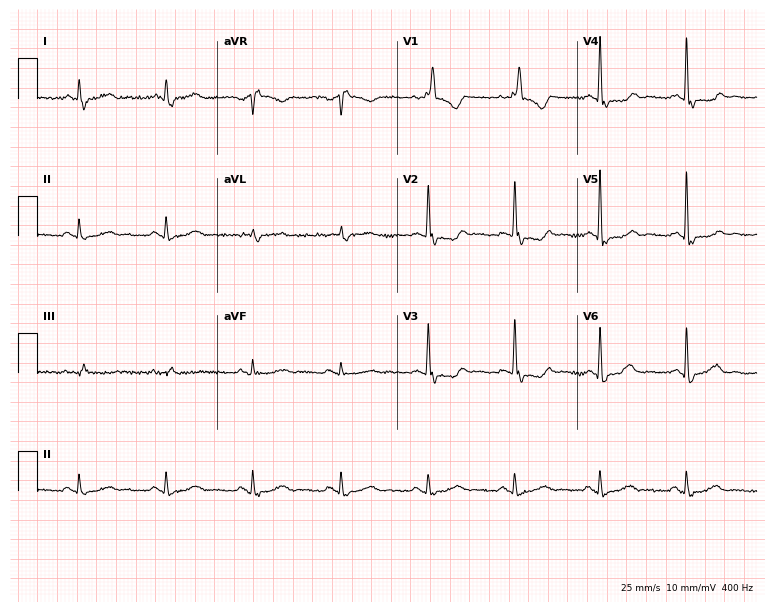
12-lead ECG (7.3-second recording at 400 Hz) from an 85-year-old man. Findings include right bundle branch block.